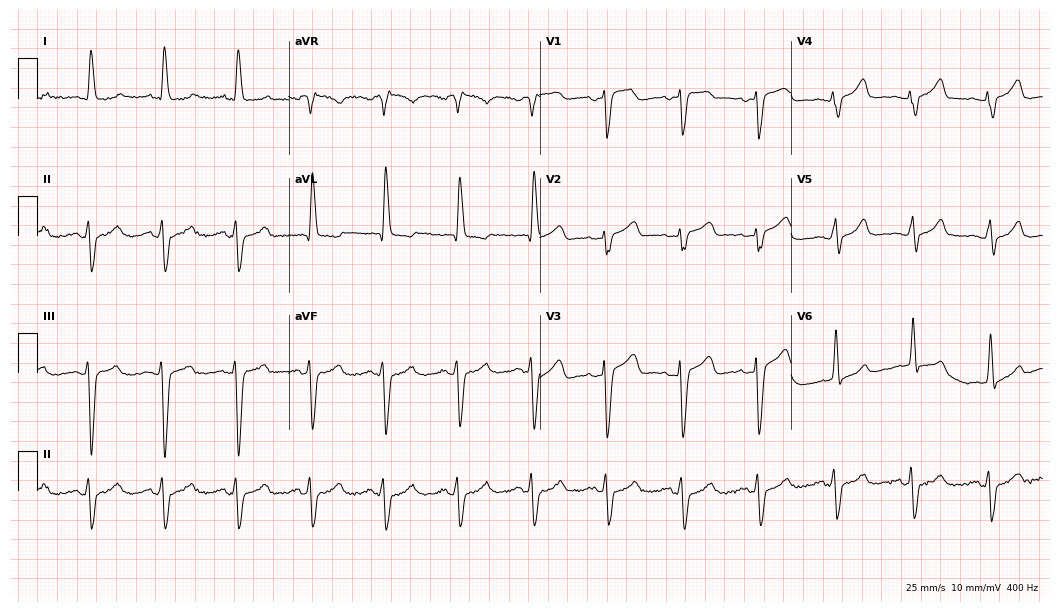
Resting 12-lead electrocardiogram (10.2-second recording at 400 Hz). Patient: a woman, 77 years old. The tracing shows left bundle branch block.